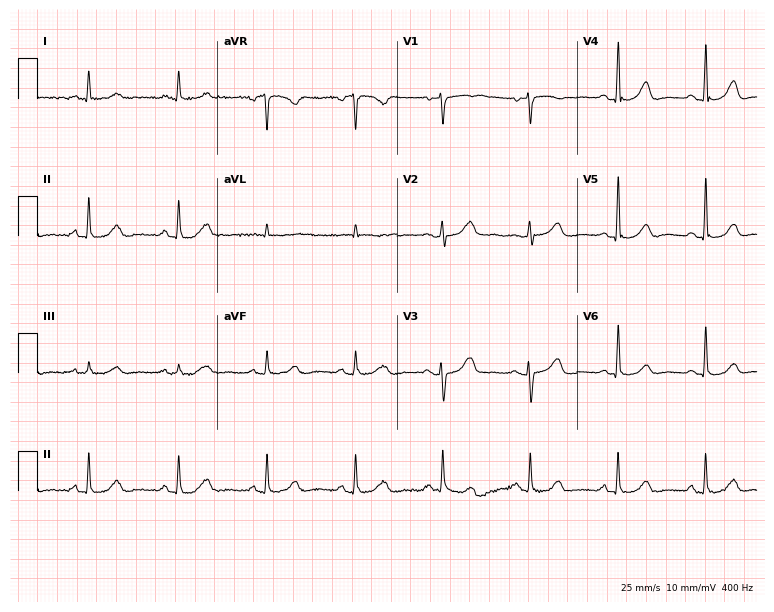
ECG — a female, 72 years old. Labelled as a normal ECG.